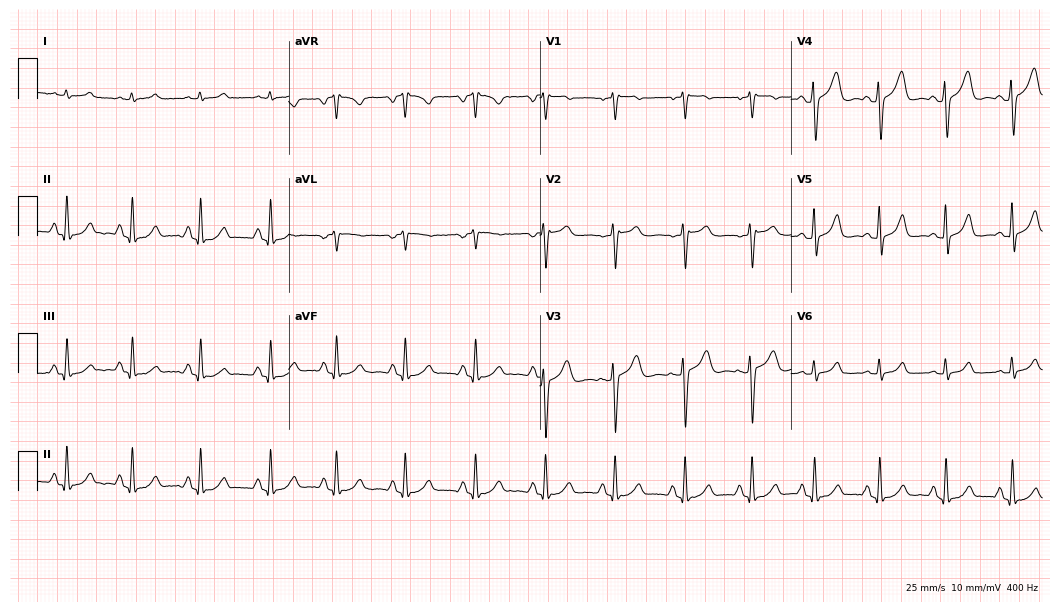
12-lead ECG from a 42-year-old woman (10.2-second recording at 400 Hz). Recorded interpretation: within normal limits.